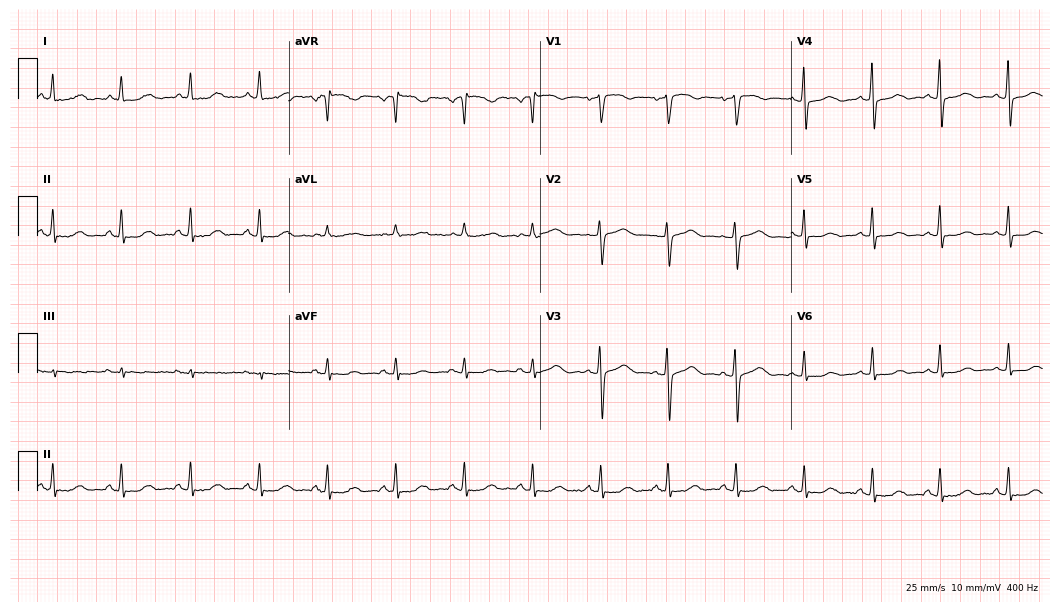
12-lead ECG from a 59-year-old female patient. Labelled as a normal ECG.